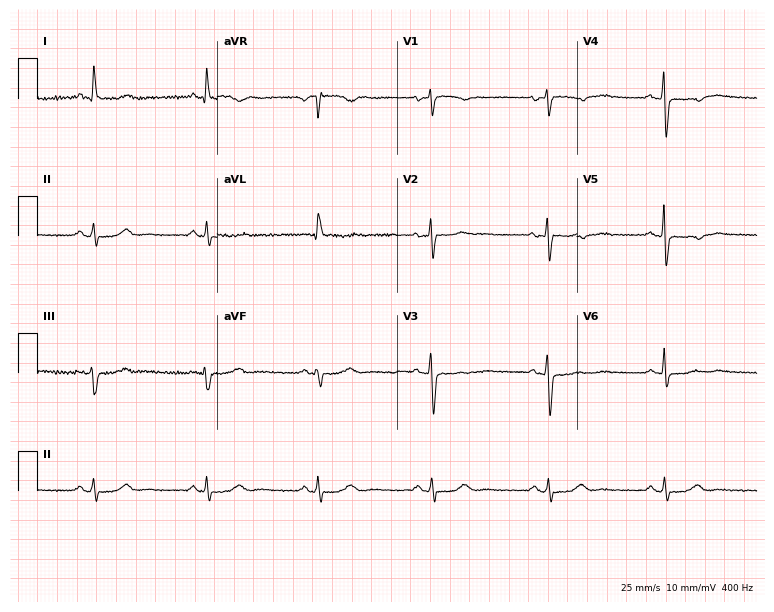
Resting 12-lead electrocardiogram (7.3-second recording at 400 Hz). Patient: a 57-year-old female. None of these six findings is recorded: first-degree AV block, right bundle branch block, left bundle branch block, sinus bradycardia, atrial fibrillation, sinus tachycardia.